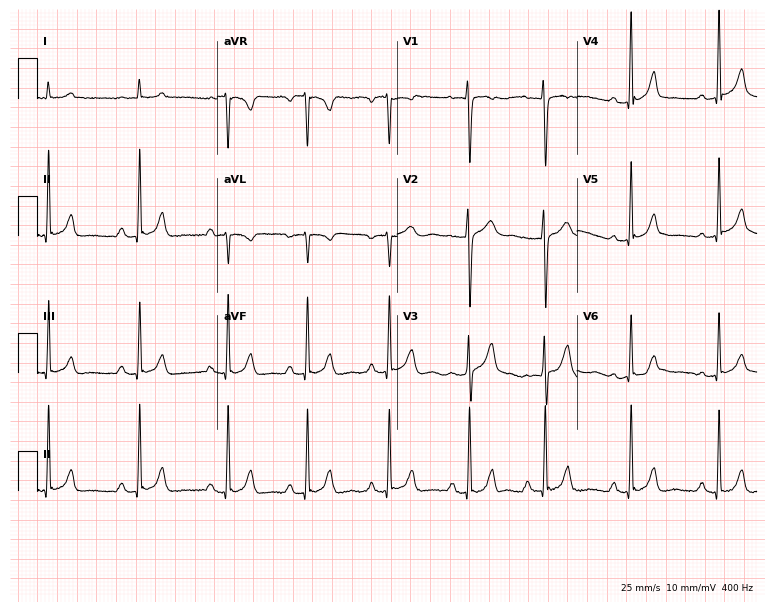
ECG — a 30-year-old female. Labelled as a normal ECG.